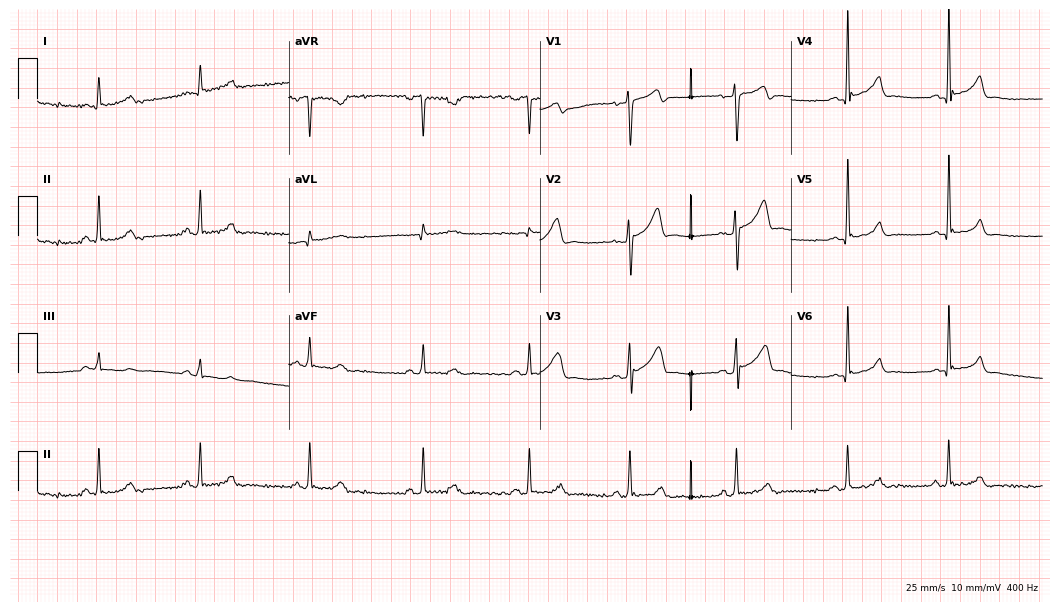
Resting 12-lead electrocardiogram (10.2-second recording at 400 Hz). Patient: a 41-year-old man. None of these six findings is recorded: first-degree AV block, right bundle branch block, left bundle branch block, sinus bradycardia, atrial fibrillation, sinus tachycardia. Only these six findings were labelled.